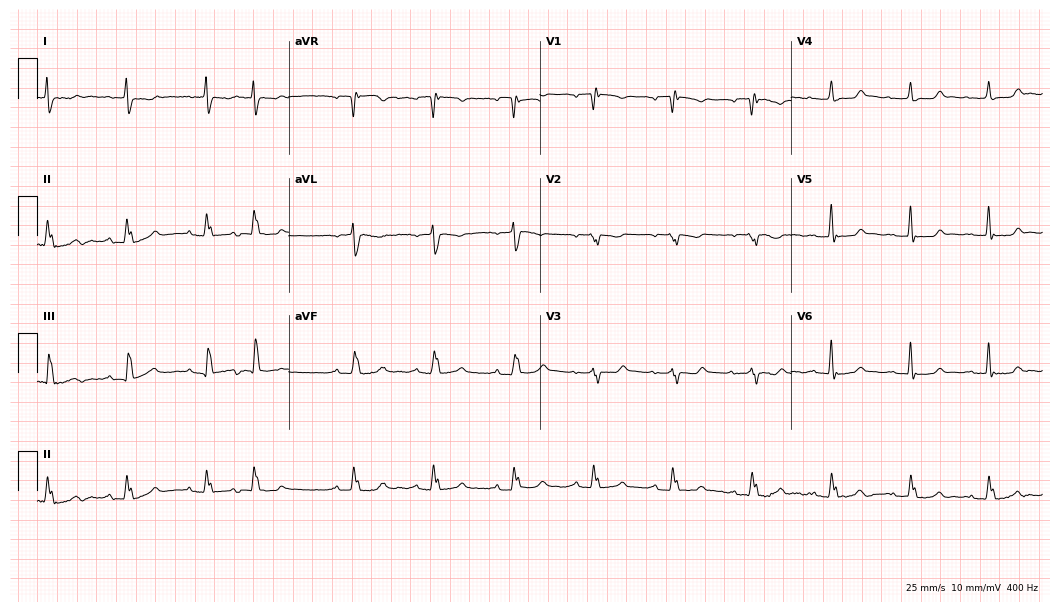
Resting 12-lead electrocardiogram. Patient: a 74-year-old female. None of these six findings is recorded: first-degree AV block, right bundle branch block, left bundle branch block, sinus bradycardia, atrial fibrillation, sinus tachycardia.